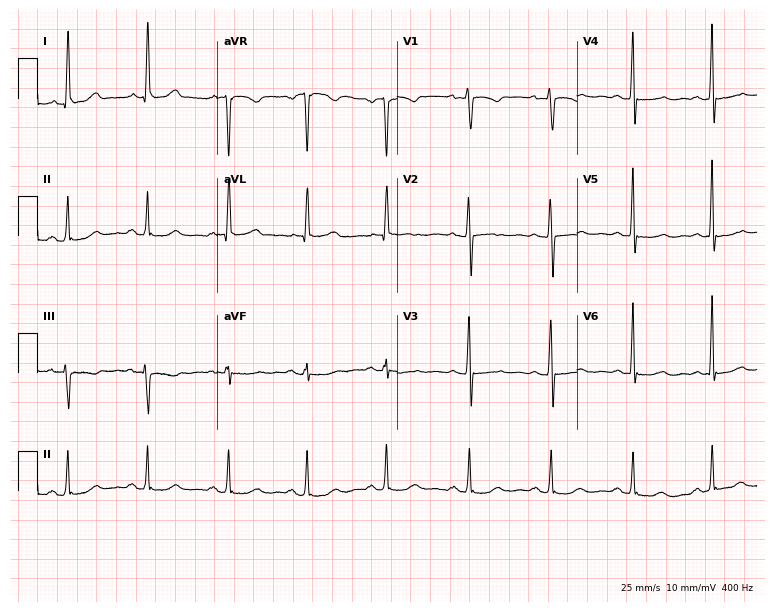
12-lead ECG from a female patient, 57 years old. No first-degree AV block, right bundle branch block (RBBB), left bundle branch block (LBBB), sinus bradycardia, atrial fibrillation (AF) or sinus tachycardia recorded for this tracing. Other findings, if any, are not listed.